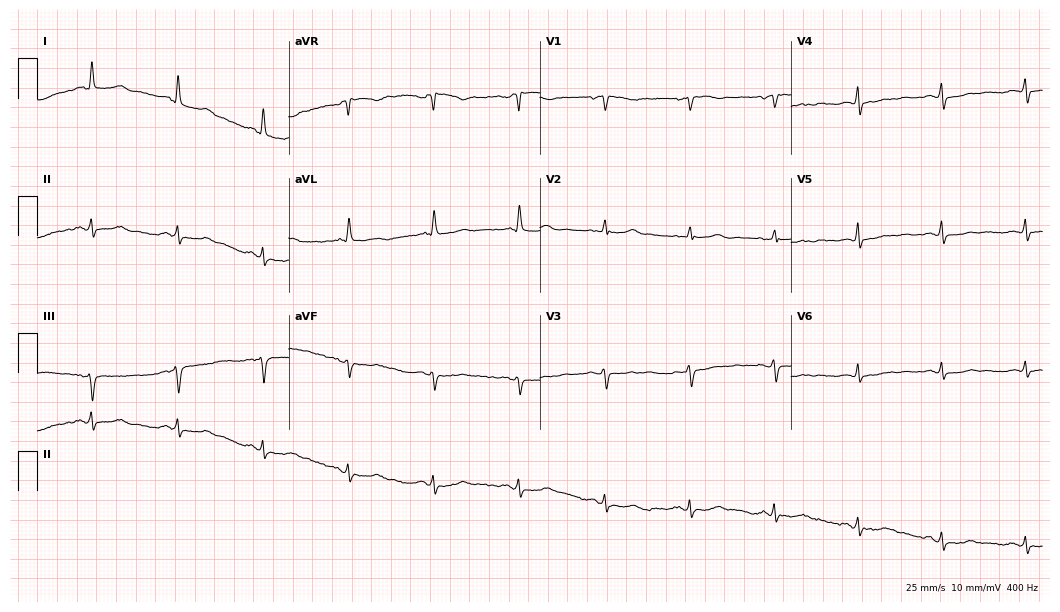
Resting 12-lead electrocardiogram. Patient: a female, 60 years old. None of these six findings is recorded: first-degree AV block, right bundle branch block (RBBB), left bundle branch block (LBBB), sinus bradycardia, atrial fibrillation (AF), sinus tachycardia.